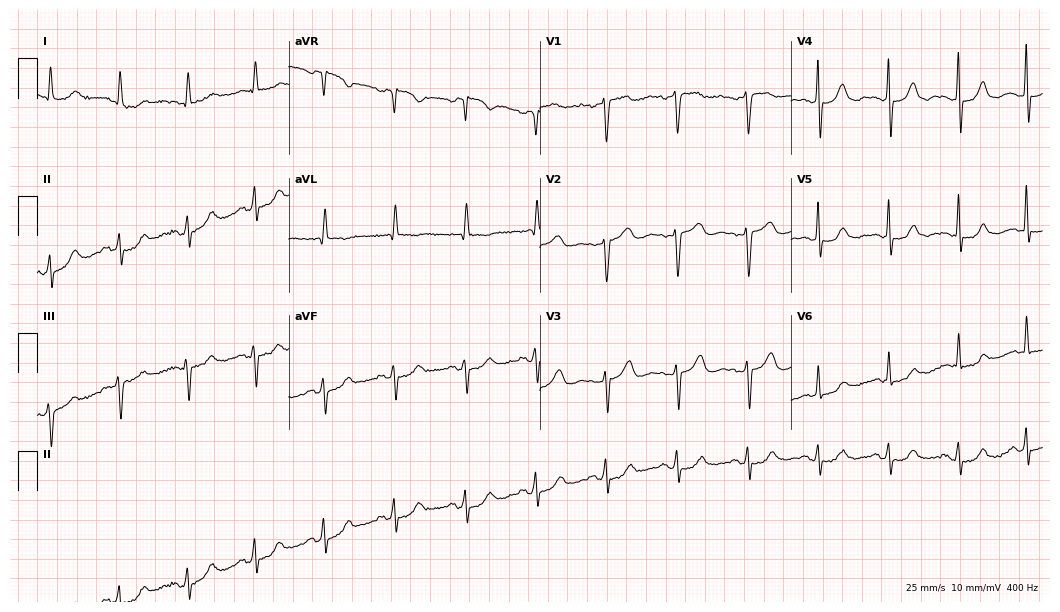
Electrocardiogram (10.2-second recording at 400 Hz), a 70-year-old female patient. Of the six screened findings (first-degree AV block, right bundle branch block (RBBB), left bundle branch block (LBBB), sinus bradycardia, atrial fibrillation (AF), sinus tachycardia), none is recorded. Findings outside these six are not listed.